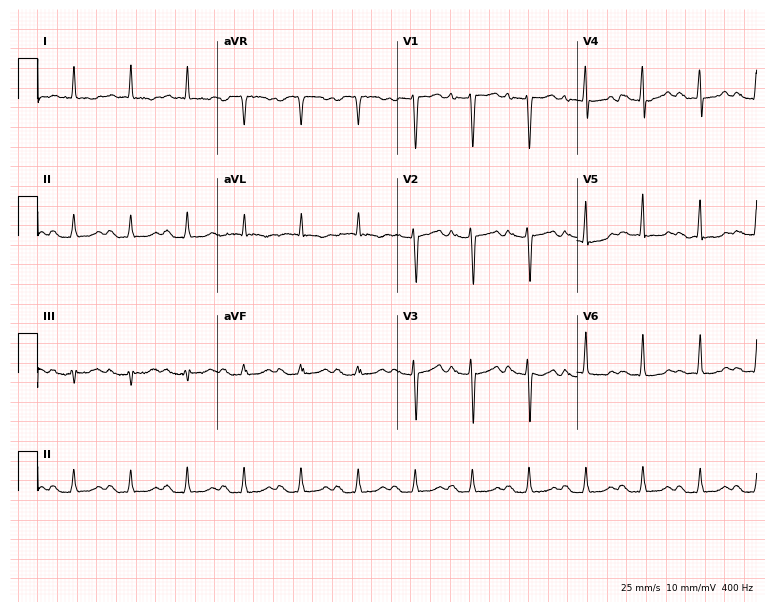
12-lead ECG (7.3-second recording at 400 Hz) from an 82-year-old woman. Findings include sinus tachycardia (a sinus rate of 100 beats per minute or more).